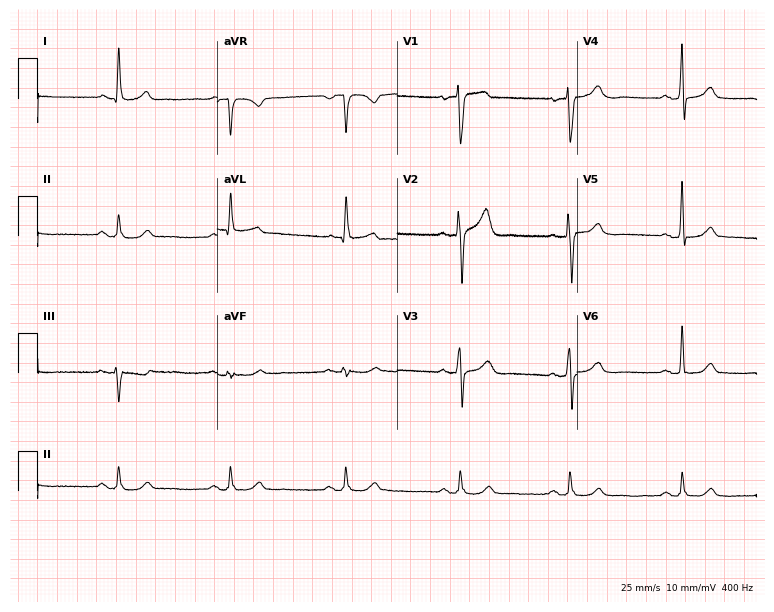
Resting 12-lead electrocardiogram. Patient: a male, 57 years old. Read as a normal ECG.